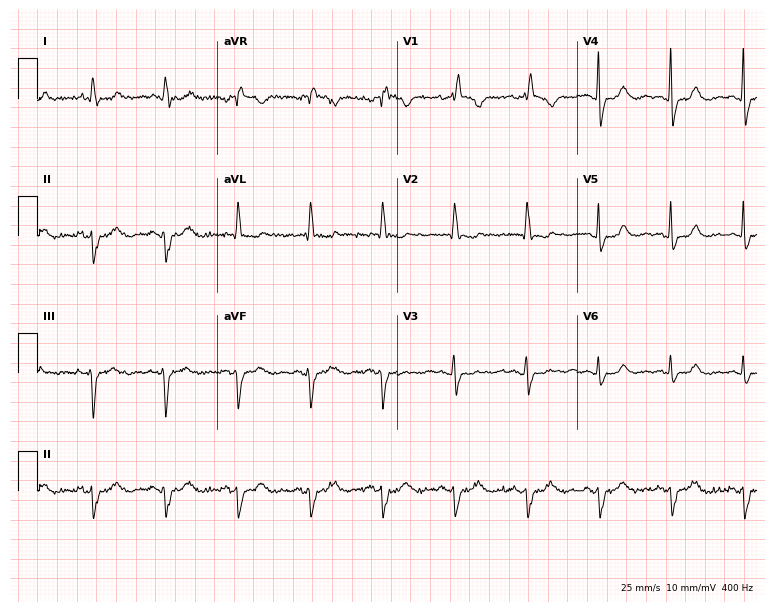
Electrocardiogram, a 76-year-old woman. Interpretation includes right bundle branch block (RBBB).